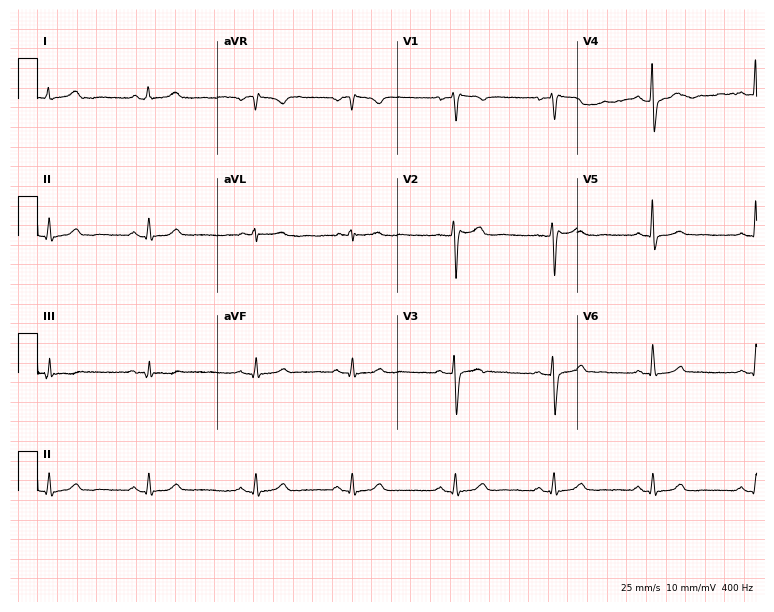
Standard 12-lead ECG recorded from a 34-year-old woman (7.3-second recording at 400 Hz). Read as a normal ECG.